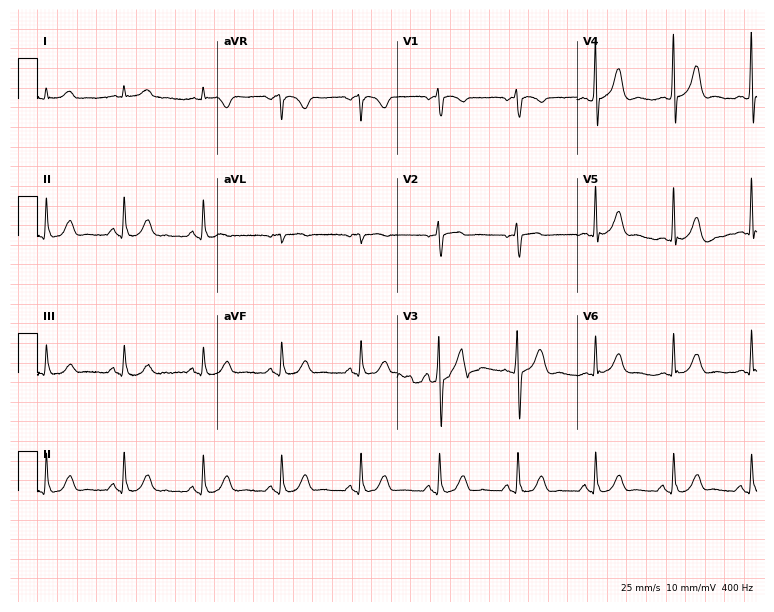
Resting 12-lead electrocardiogram (7.3-second recording at 400 Hz). Patient: a male, 73 years old. Read as a normal ECG.